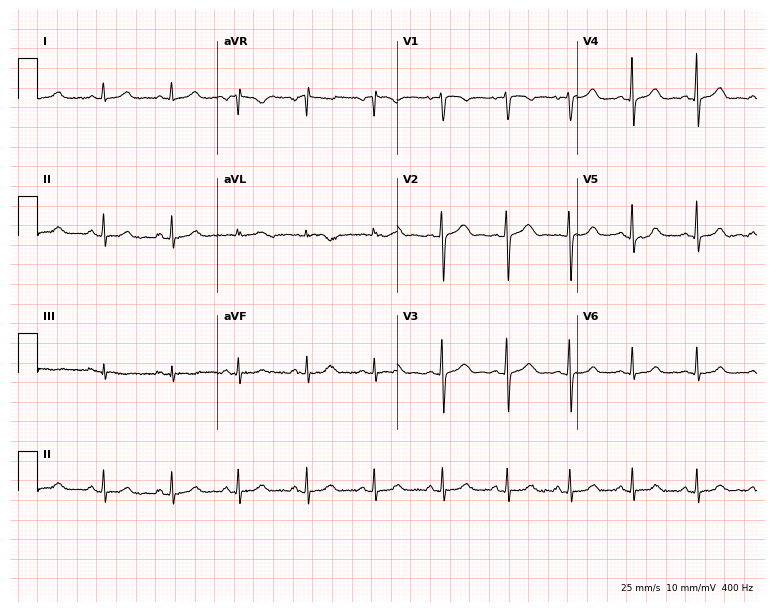
Resting 12-lead electrocardiogram (7.3-second recording at 400 Hz). Patient: a 52-year-old woman. Read as a normal ECG.